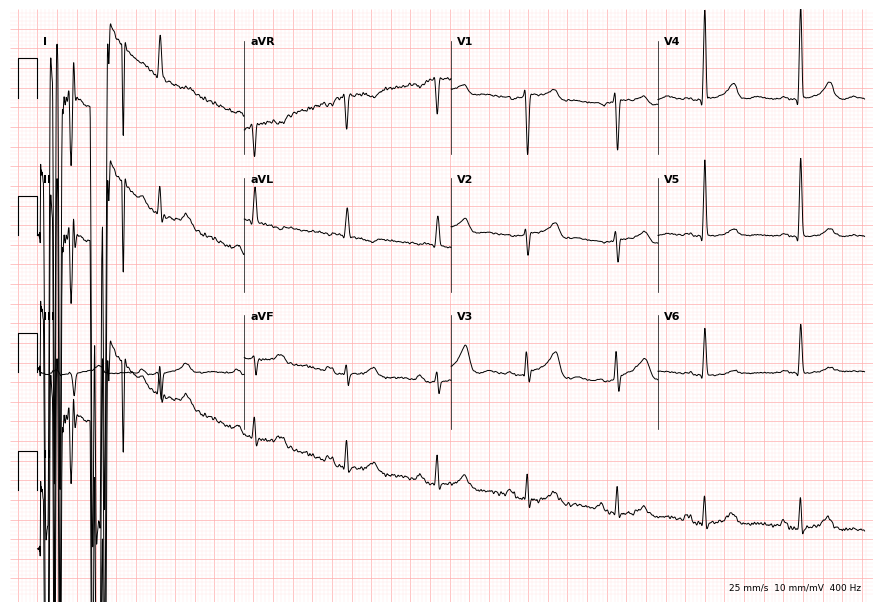
ECG — an 85-year-old woman. Screened for six findings — first-degree AV block, right bundle branch block (RBBB), left bundle branch block (LBBB), sinus bradycardia, atrial fibrillation (AF), sinus tachycardia — none is recorded.